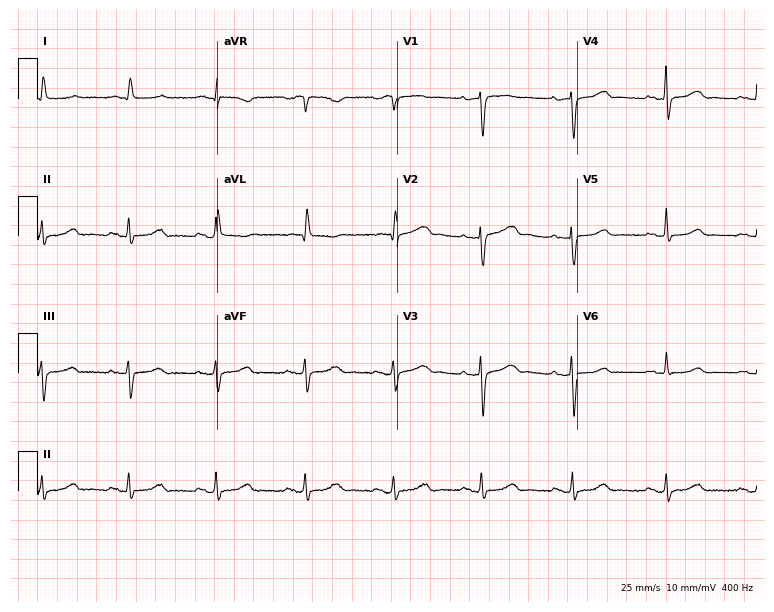
ECG (7.3-second recording at 400 Hz) — an 84-year-old female. Labelled as a normal ECG.